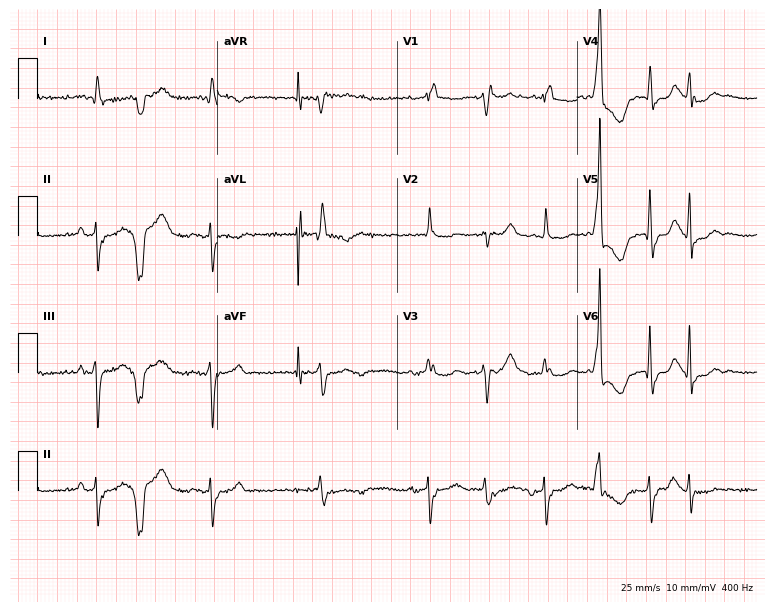
Resting 12-lead electrocardiogram (7.3-second recording at 400 Hz). Patient: a male, 84 years old. None of these six findings is recorded: first-degree AV block, right bundle branch block, left bundle branch block, sinus bradycardia, atrial fibrillation, sinus tachycardia. Findings outside these six are not listed.